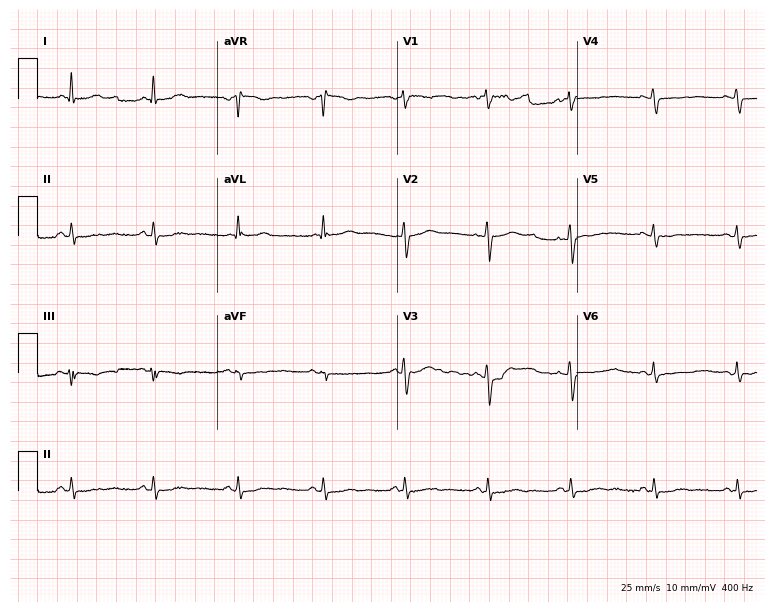
ECG (7.3-second recording at 400 Hz) — a 55-year-old female patient. Screened for six findings — first-degree AV block, right bundle branch block, left bundle branch block, sinus bradycardia, atrial fibrillation, sinus tachycardia — none is recorded. Only these six findings were labelled.